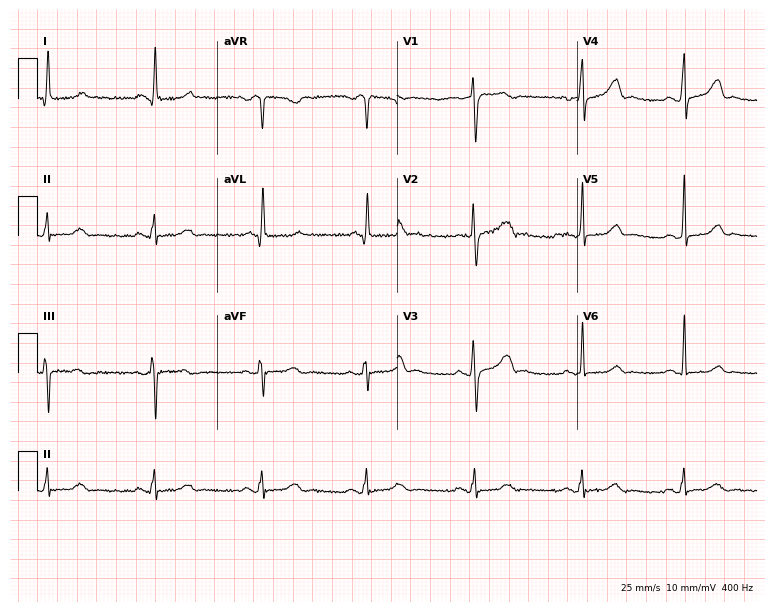
Resting 12-lead electrocardiogram (7.3-second recording at 400 Hz). Patient: a female, 53 years old. None of these six findings is recorded: first-degree AV block, right bundle branch block (RBBB), left bundle branch block (LBBB), sinus bradycardia, atrial fibrillation (AF), sinus tachycardia.